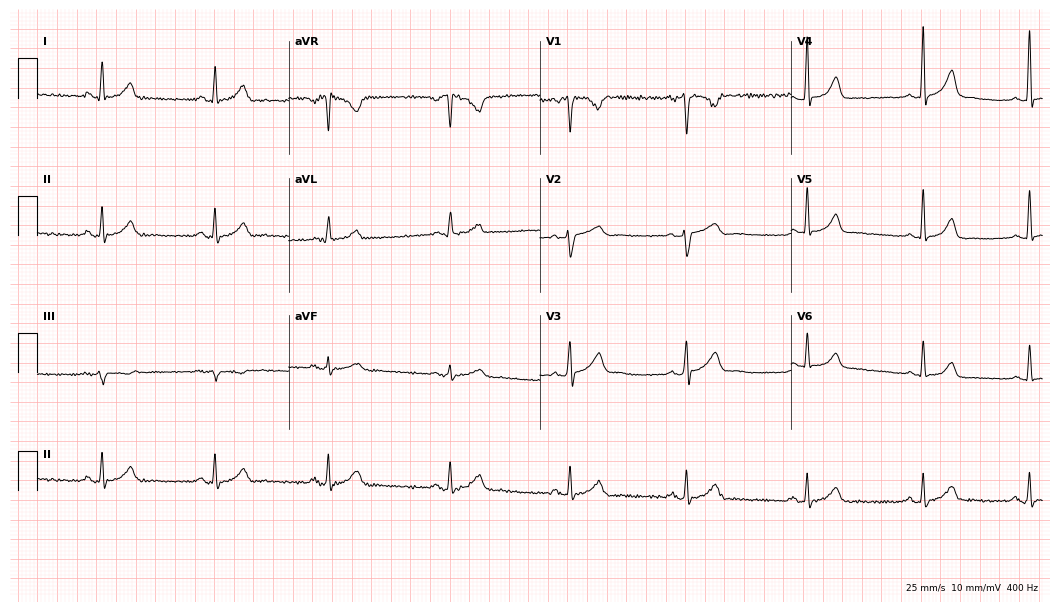
Standard 12-lead ECG recorded from a female, 28 years old. None of these six findings is recorded: first-degree AV block, right bundle branch block (RBBB), left bundle branch block (LBBB), sinus bradycardia, atrial fibrillation (AF), sinus tachycardia. Other findings, if any, are not listed.